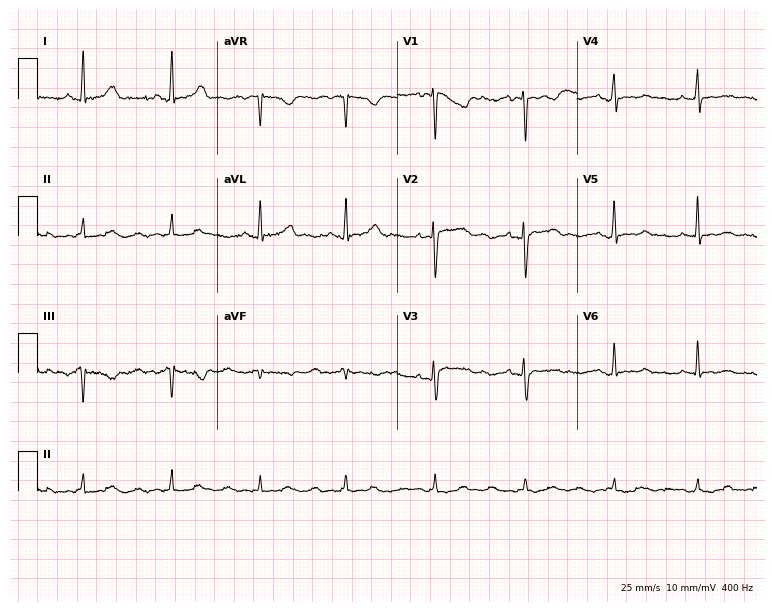
Electrocardiogram (7.3-second recording at 400 Hz), a female patient, 41 years old. Overall reading on record: normal ECG.